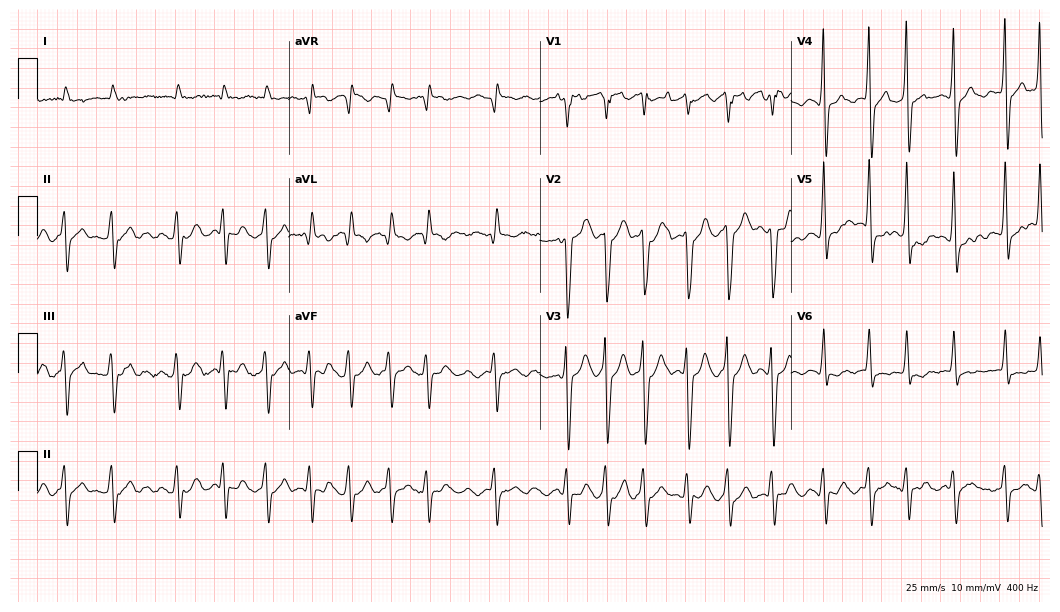
ECG (10.2-second recording at 400 Hz) — a man, 80 years old. Findings include atrial fibrillation.